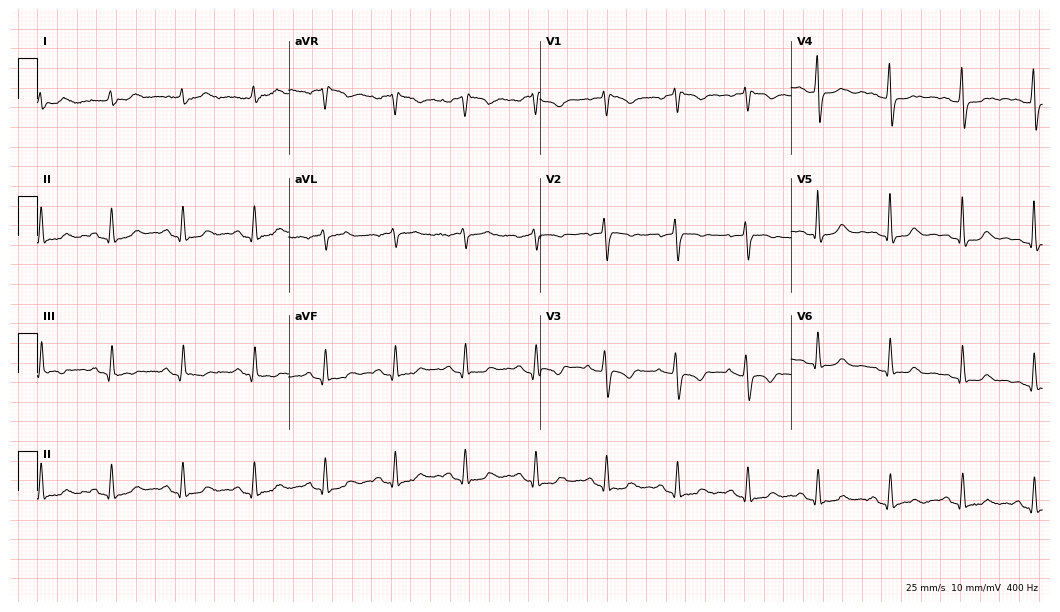
12-lead ECG from a 53-year-old female. No first-degree AV block, right bundle branch block, left bundle branch block, sinus bradycardia, atrial fibrillation or sinus tachycardia recorded for this tracing. Other findings, if any, are not listed.